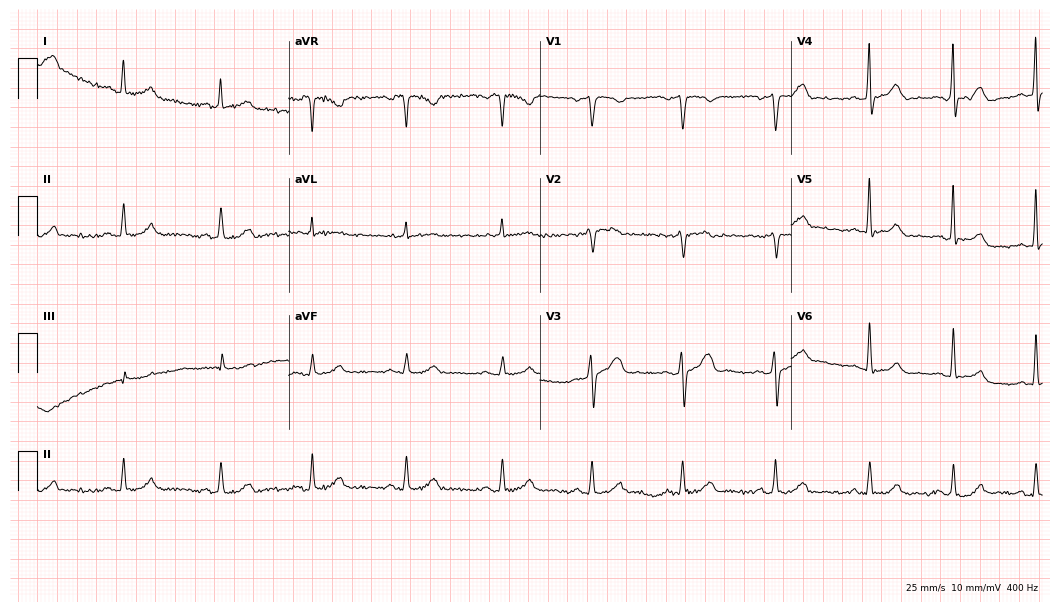
Electrocardiogram, a 60-year-old man. Overall reading on record: normal ECG.